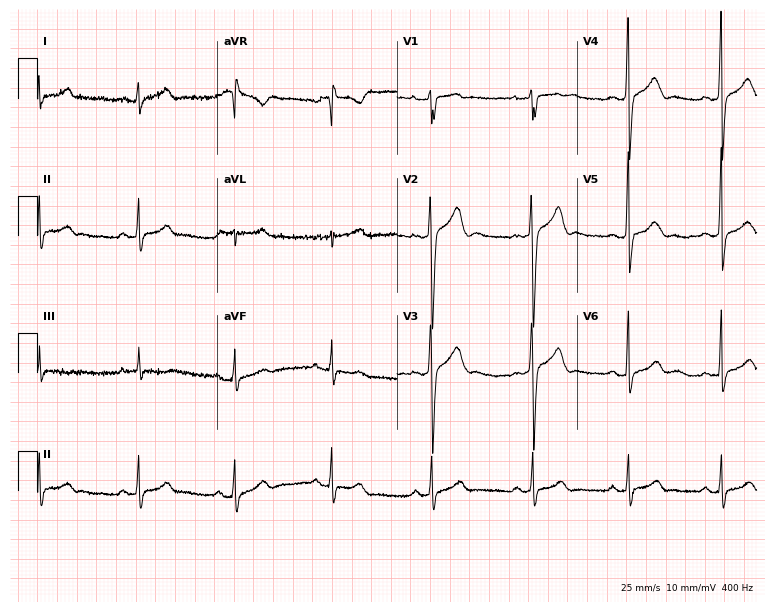
ECG (7.3-second recording at 400 Hz) — a male, 22 years old. Labelled as a normal ECG.